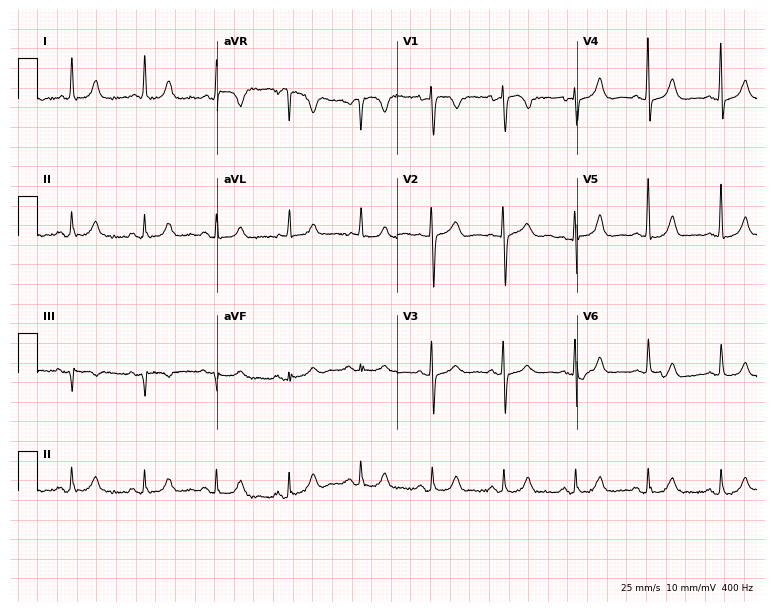
ECG (7.3-second recording at 400 Hz) — a female patient, 75 years old. Labelled as a normal ECG.